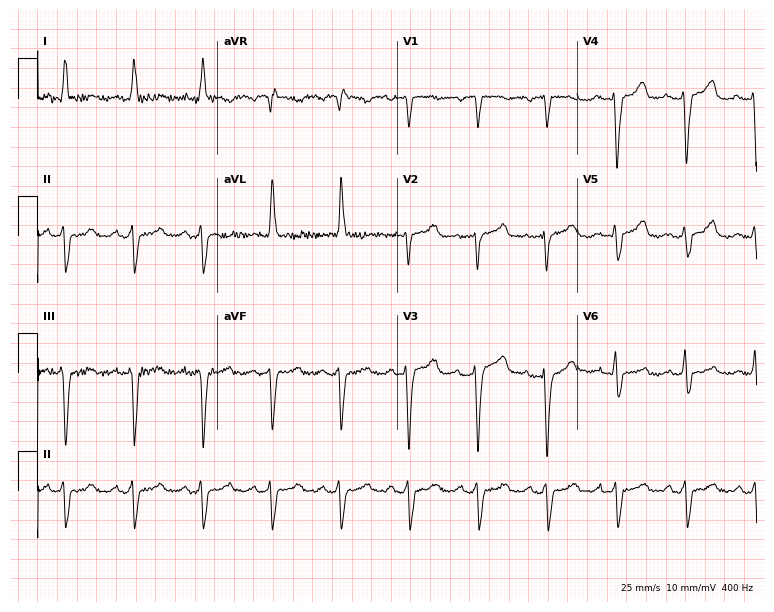
ECG (7.3-second recording at 400 Hz) — a 79-year-old female patient. Screened for six findings — first-degree AV block, right bundle branch block, left bundle branch block, sinus bradycardia, atrial fibrillation, sinus tachycardia — none is recorded.